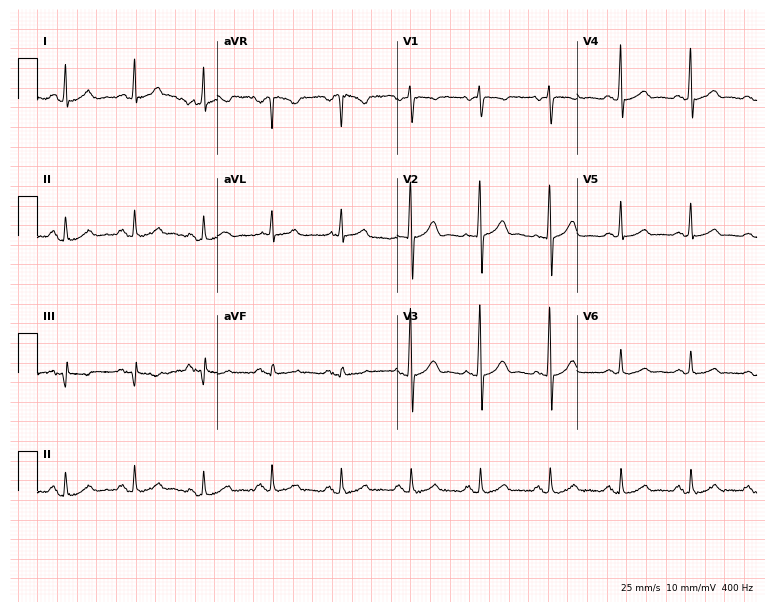
Resting 12-lead electrocardiogram (7.3-second recording at 400 Hz). Patient: a 64-year-old female. None of these six findings is recorded: first-degree AV block, right bundle branch block, left bundle branch block, sinus bradycardia, atrial fibrillation, sinus tachycardia.